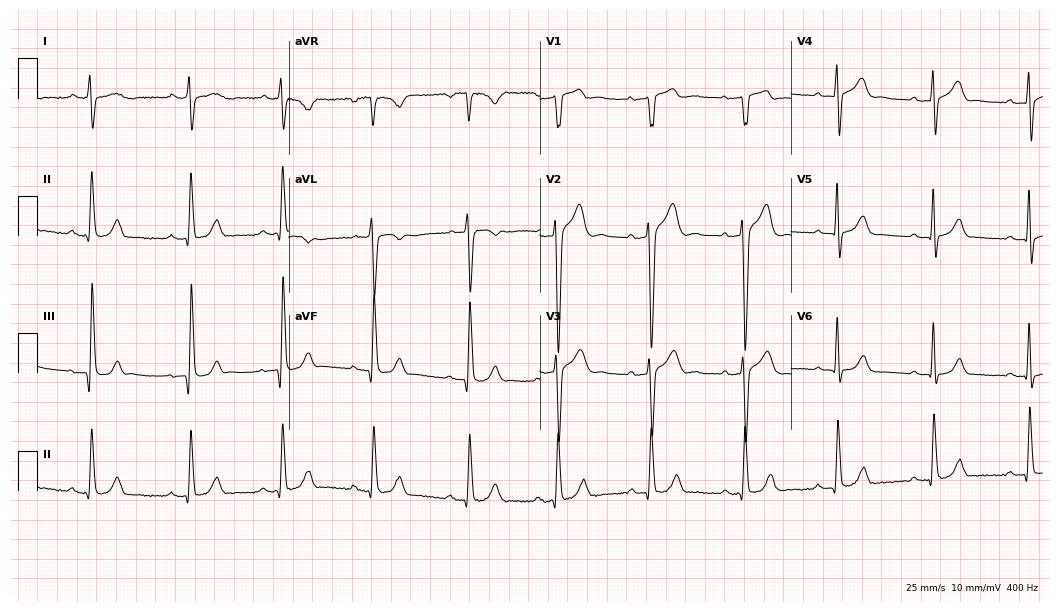
12-lead ECG (10.2-second recording at 400 Hz) from a 40-year-old man. Screened for six findings — first-degree AV block, right bundle branch block, left bundle branch block, sinus bradycardia, atrial fibrillation, sinus tachycardia — none is recorded. Other findings, if any, are not listed.